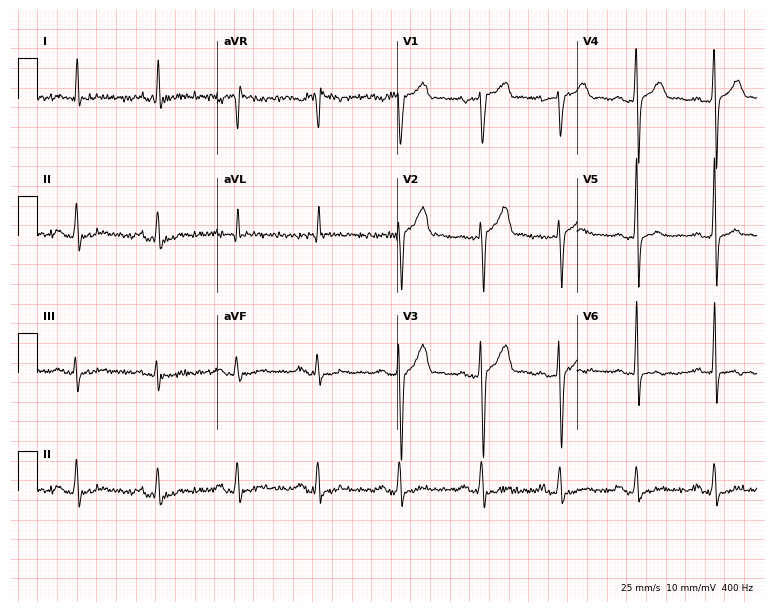
Electrocardiogram (7.3-second recording at 400 Hz), a male patient, 60 years old. Of the six screened findings (first-degree AV block, right bundle branch block, left bundle branch block, sinus bradycardia, atrial fibrillation, sinus tachycardia), none is recorded. Only these six findings were labelled.